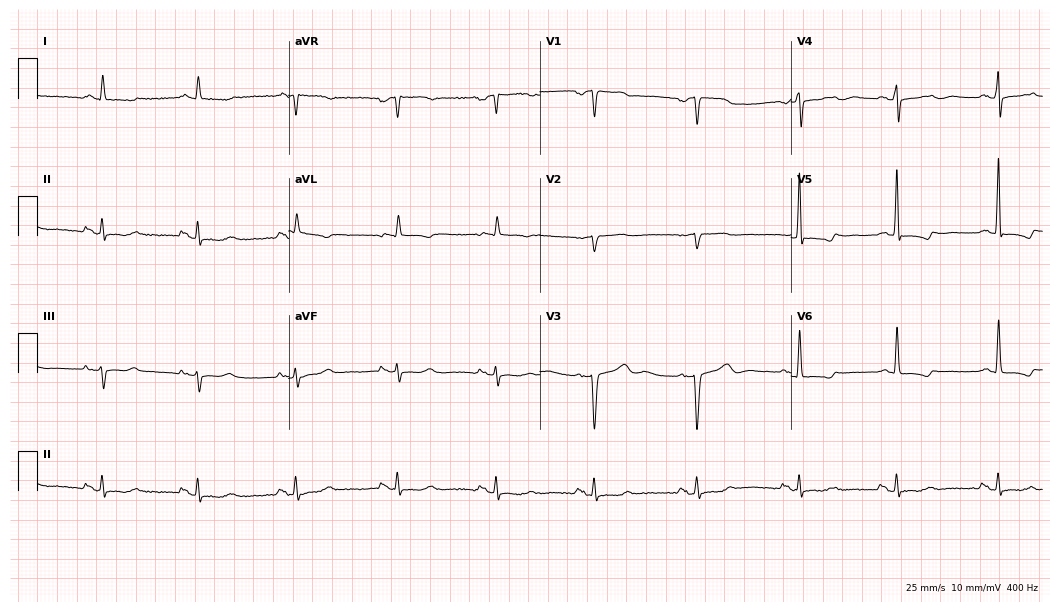
Electrocardiogram, a 61-year-old woman. Of the six screened findings (first-degree AV block, right bundle branch block (RBBB), left bundle branch block (LBBB), sinus bradycardia, atrial fibrillation (AF), sinus tachycardia), none is recorded.